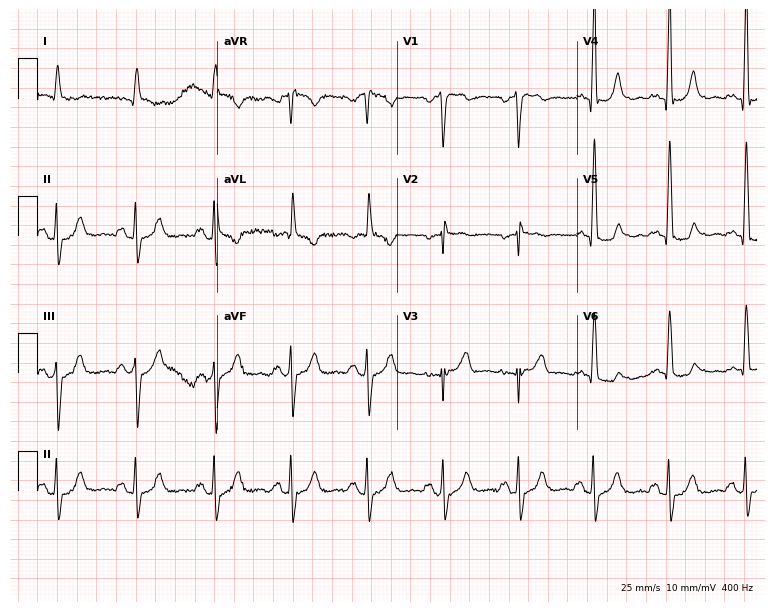
Standard 12-lead ECG recorded from a man, 83 years old. None of these six findings is recorded: first-degree AV block, right bundle branch block, left bundle branch block, sinus bradycardia, atrial fibrillation, sinus tachycardia. Other findings, if any, are not listed.